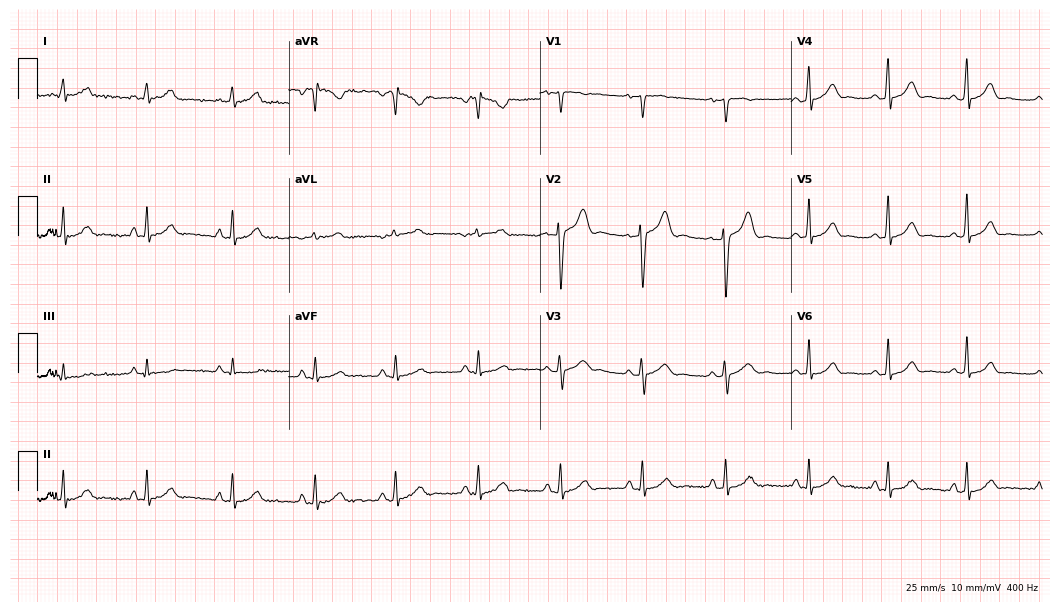
12-lead ECG from a 17-year-old female. Recorded interpretation: within normal limits.